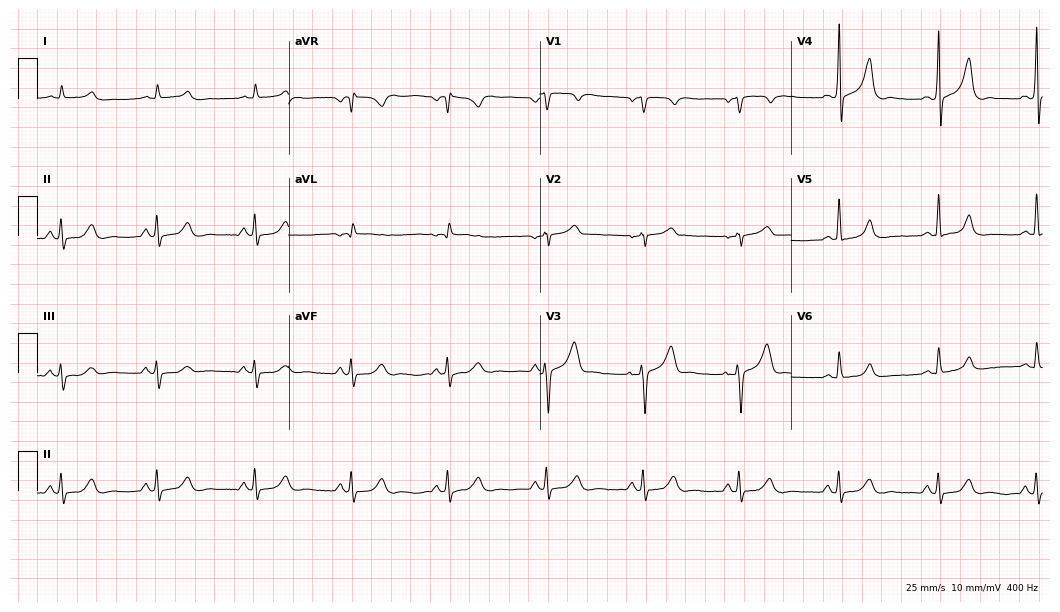
ECG — a 65-year-old male patient. Labelled as a normal ECG.